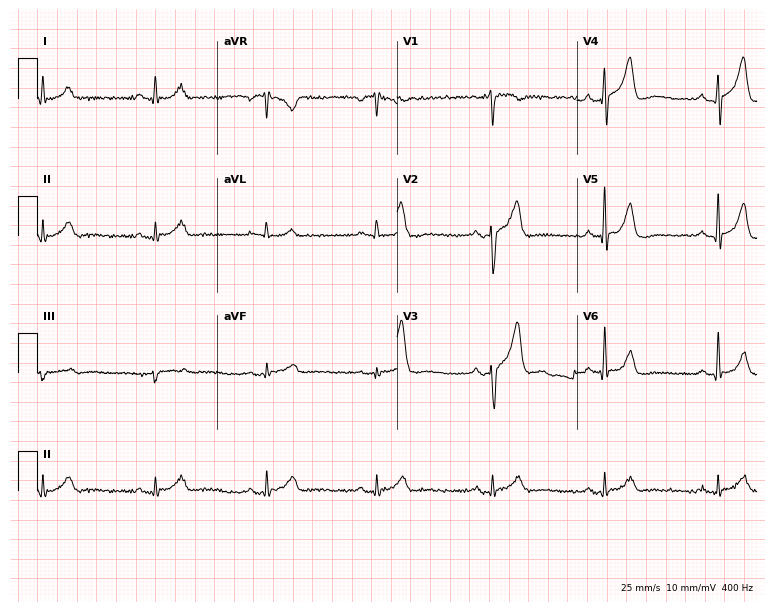
ECG (7.3-second recording at 400 Hz) — a 52-year-old male. Labelled as a normal ECG.